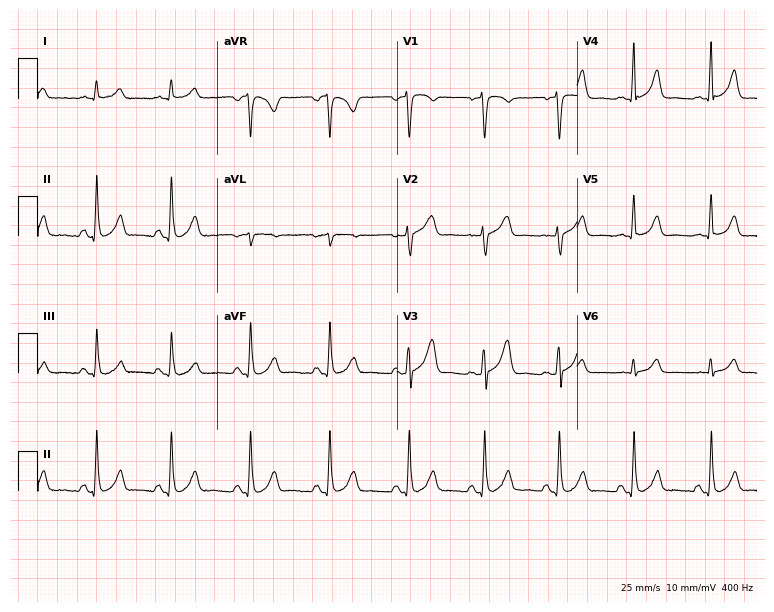
Standard 12-lead ECG recorded from a male, 59 years old. Read as a normal ECG.